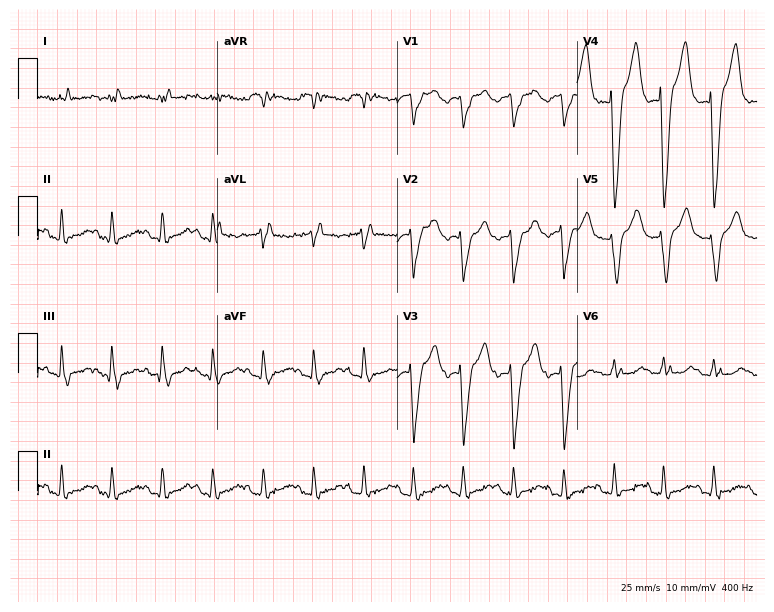
12-lead ECG from a 70-year-old female. Shows left bundle branch block (LBBB), sinus tachycardia (a sinus rate of 100 beats per minute or more).